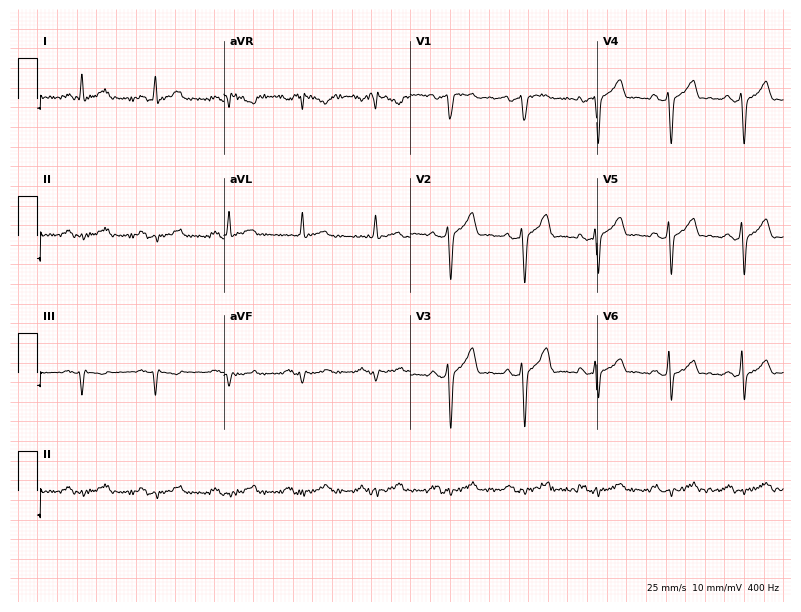
Resting 12-lead electrocardiogram (7.6-second recording at 400 Hz). Patient: a 58-year-old male. None of these six findings is recorded: first-degree AV block, right bundle branch block, left bundle branch block, sinus bradycardia, atrial fibrillation, sinus tachycardia. Only these six findings were labelled.